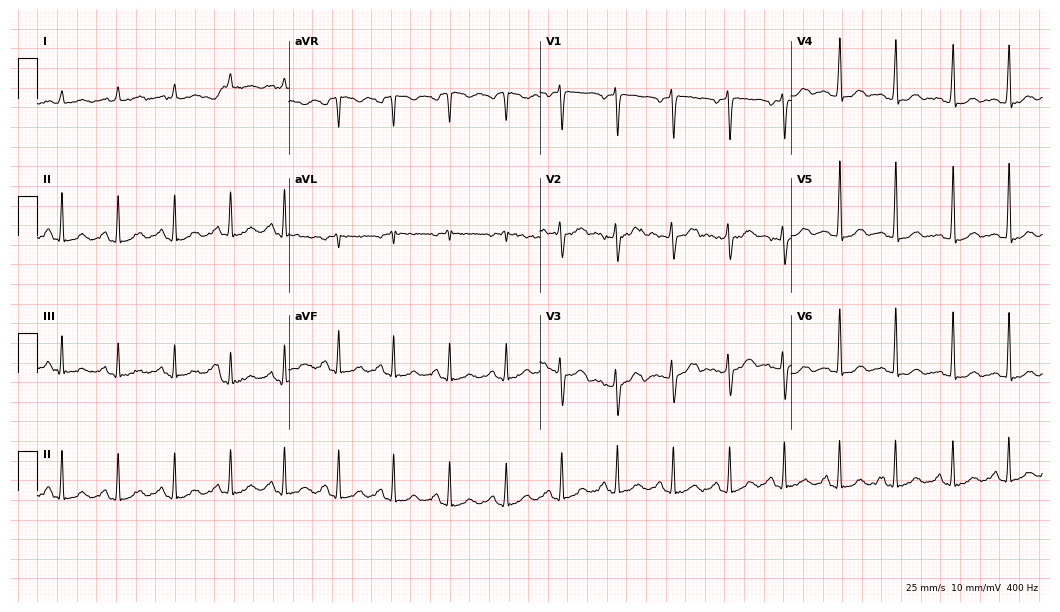
12-lead ECG from a 29-year-old female. Shows sinus tachycardia (a sinus rate of 100 beats per minute or more).